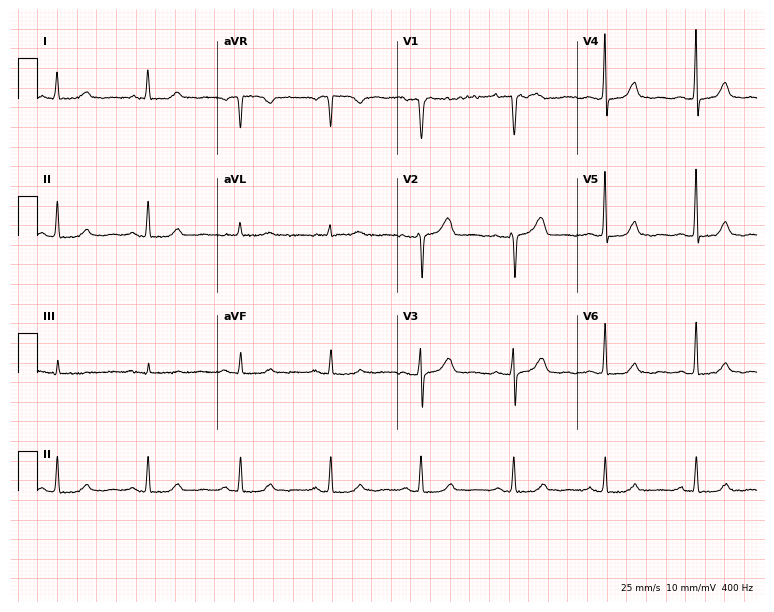
ECG (7.3-second recording at 400 Hz) — a 69-year-old female patient. Labelled as a normal ECG.